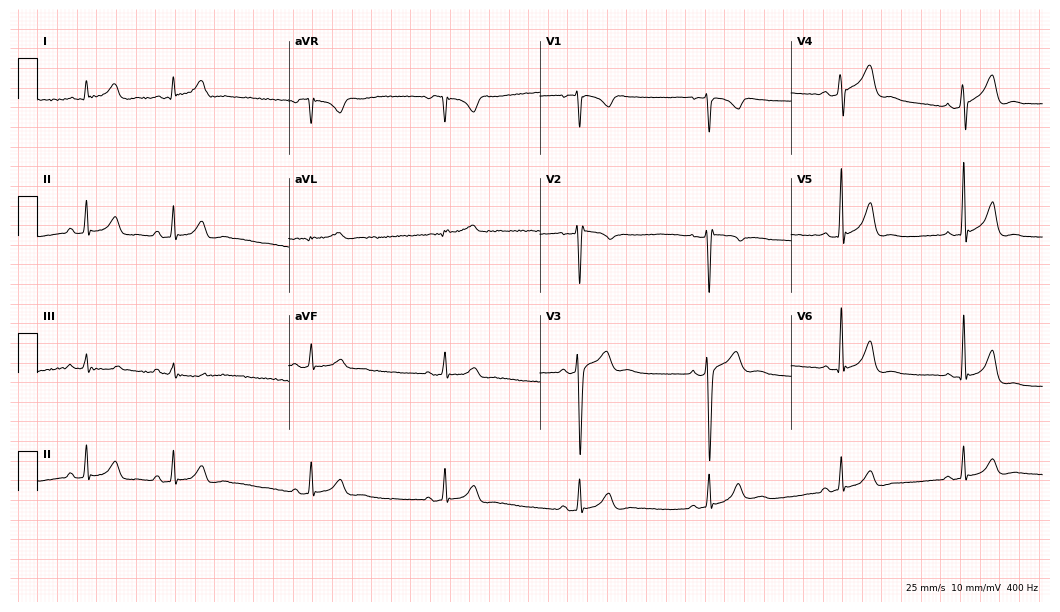
Resting 12-lead electrocardiogram. Patient: a 41-year-old male. Read as a normal ECG.